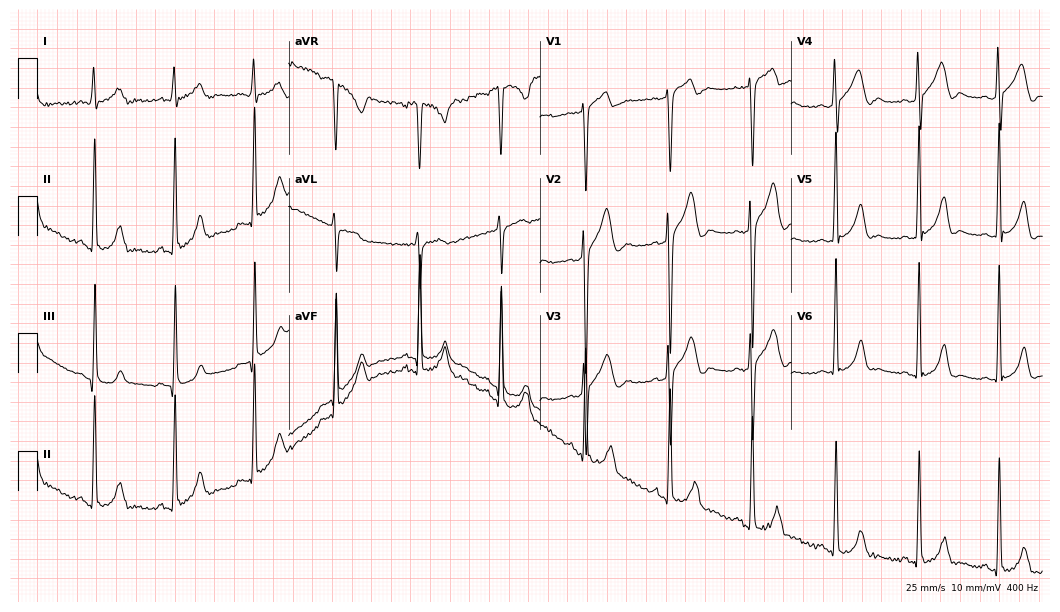
Resting 12-lead electrocardiogram. Patient: a 28-year-old male. Read as a normal ECG.